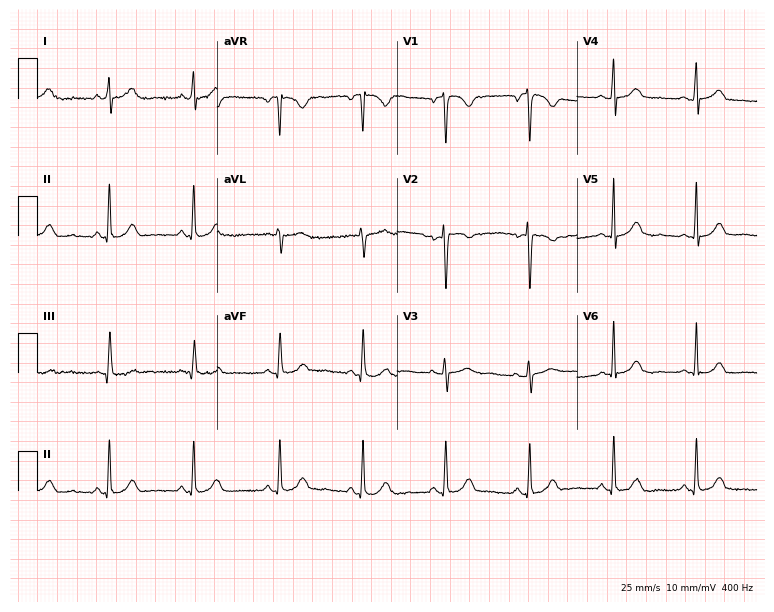
Standard 12-lead ECG recorded from a female, 54 years old (7.3-second recording at 400 Hz). None of these six findings is recorded: first-degree AV block, right bundle branch block, left bundle branch block, sinus bradycardia, atrial fibrillation, sinus tachycardia.